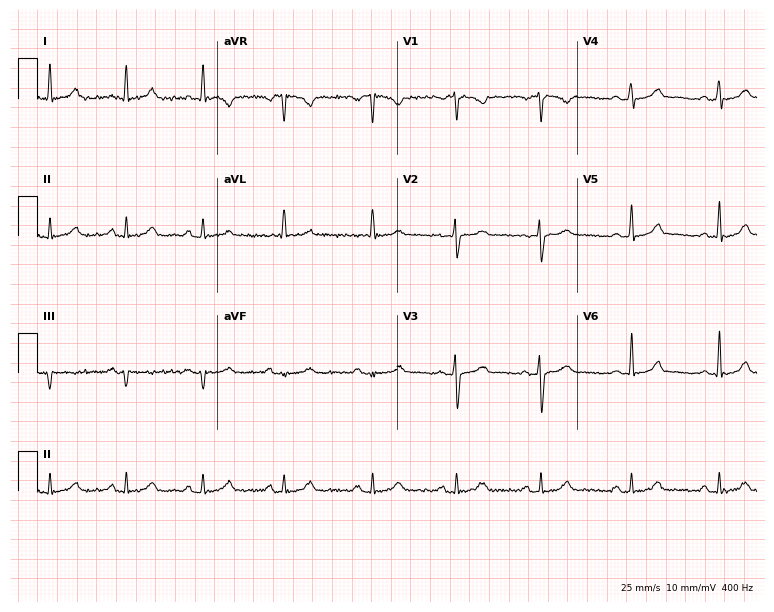
12-lead ECG (7.3-second recording at 400 Hz) from a 30-year-old woman. Labelled as a normal ECG.